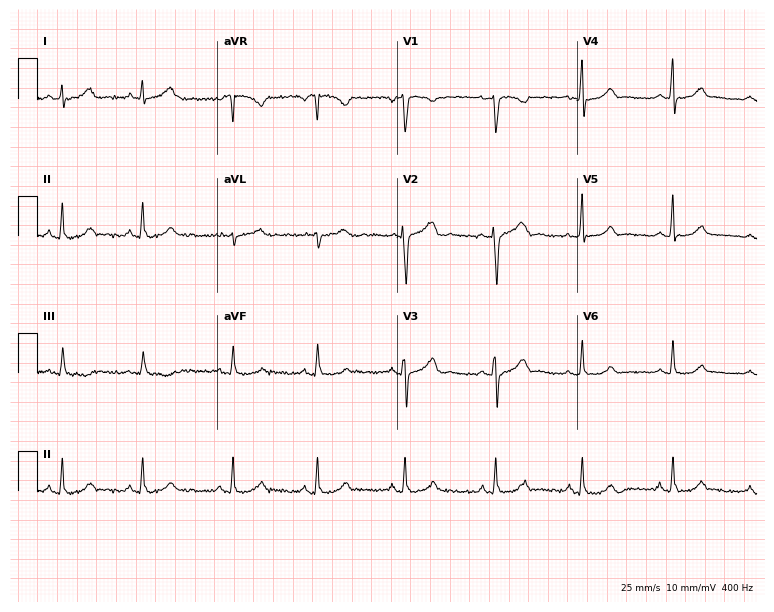
12-lead ECG from a 23-year-old female. Labelled as a normal ECG.